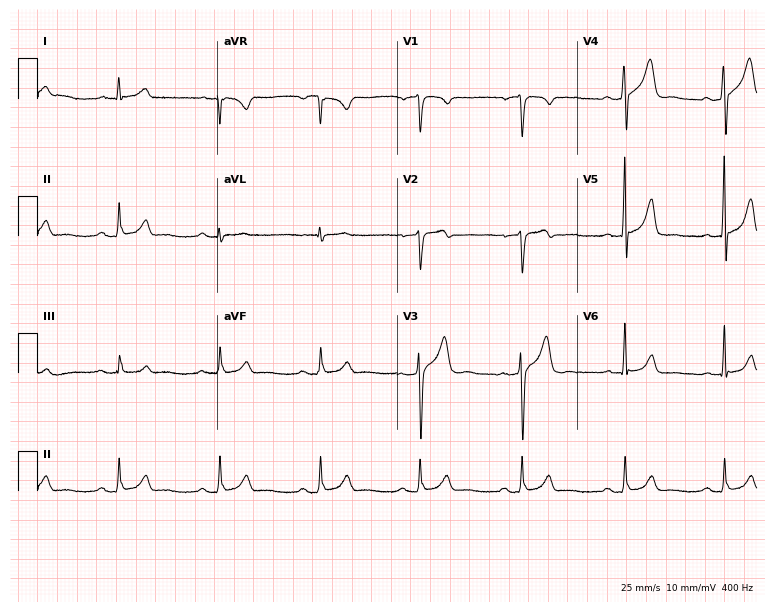
Resting 12-lead electrocardiogram. Patient: a 41-year-old male. Read as a normal ECG.